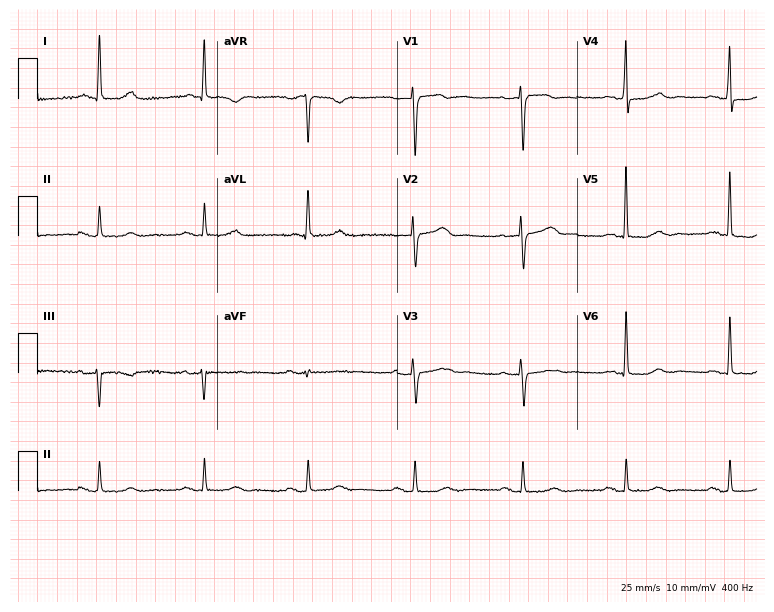
12-lead ECG from a 65-year-old female patient. Screened for six findings — first-degree AV block, right bundle branch block, left bundle branch block, sinus bradycardia, atrial fibrillation, sinus tachycardia — none is recorded. Other findings, if any, are not listed.